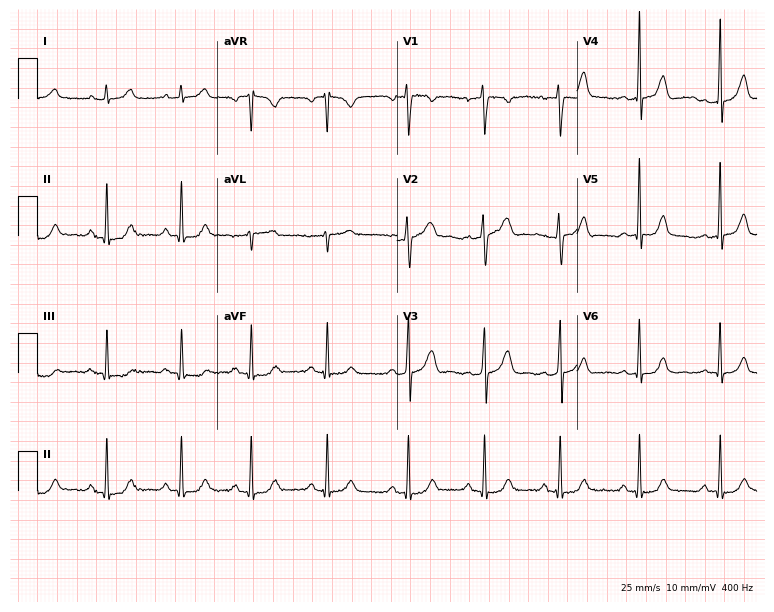
Electrocardiogram (7.3-second recording at 400 Hz), a female, 34 years old. Overall reading on record: normal ECG.